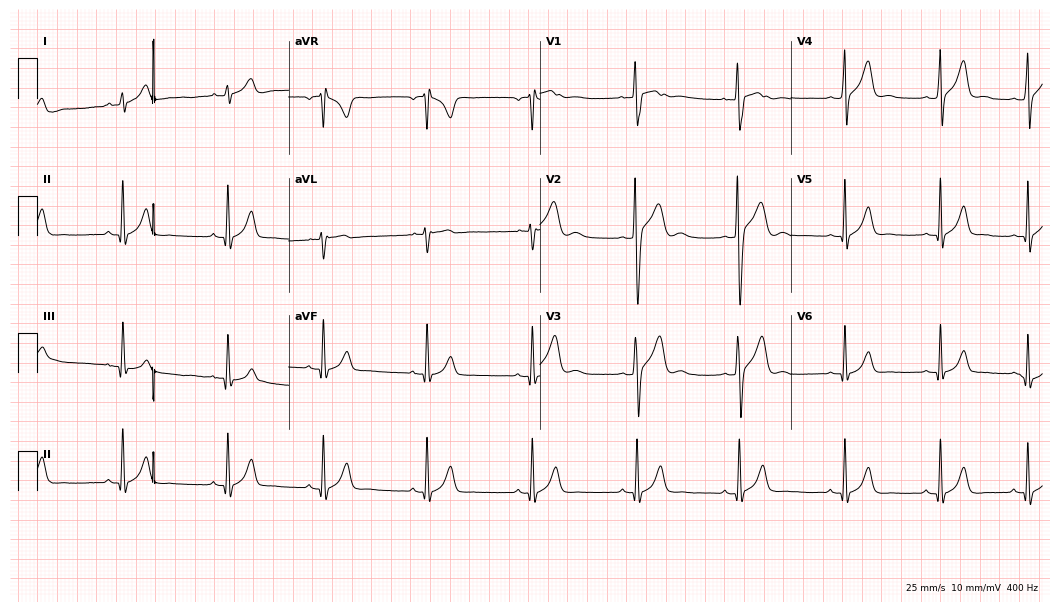
Electrocardiogram, a man, 18 years old. Of the six screened findings (first-degree AV block, right bundle branch block, left bundle branch block, sinus bradycardia, atrial fibrillation, sinus tachycardia), none is recorded.